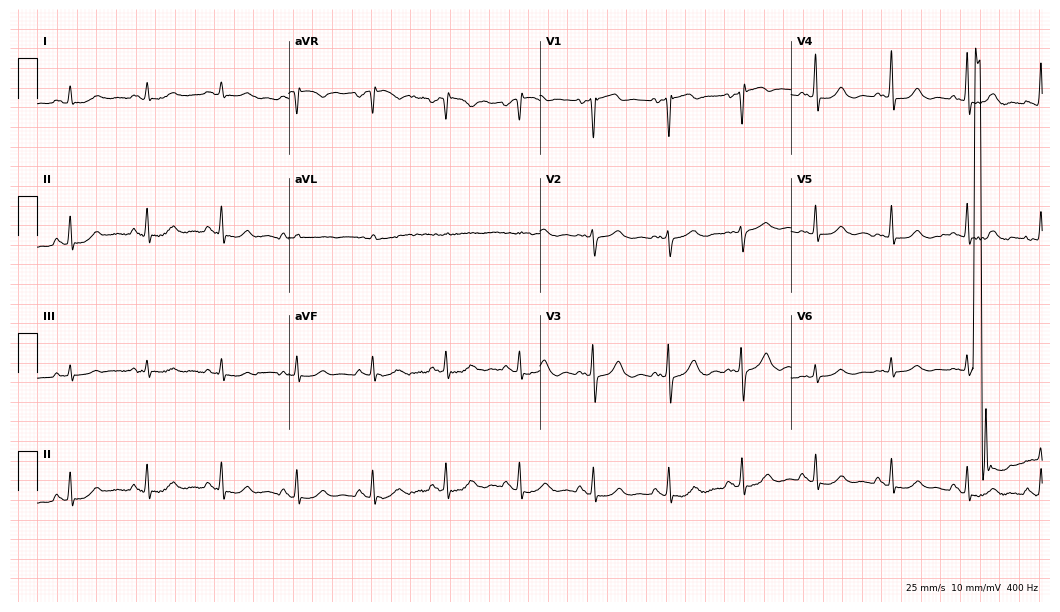
Standard 12-lead ECG recorded from a man, 78 years old (10.2-second recording at 400 Hz). None of these six findings is recorded: first-degree AV block, right bundle branch block, left bundle branch block, sinus bradycardia, atrial fibrillation, sinus tachycardia. Only these six findings were labelled.